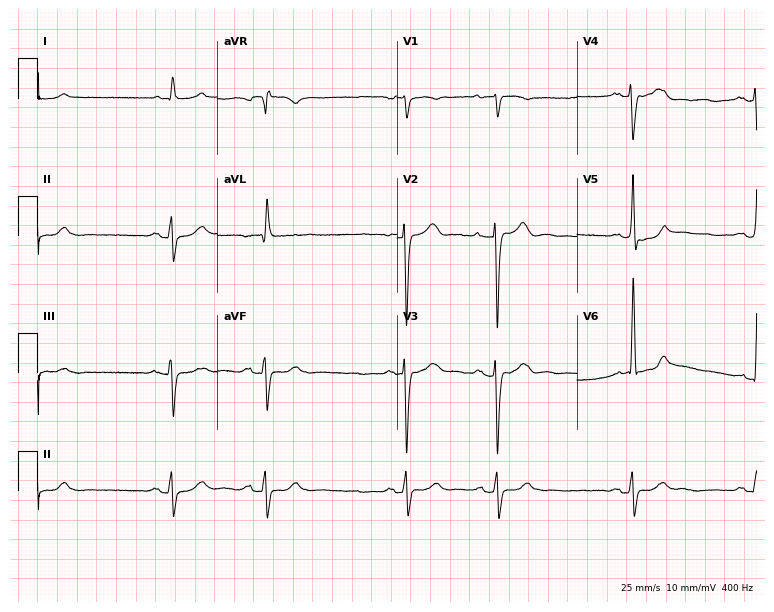
12-lead ECG (7.3-second recording at 400 Hz) from a female patient, 85 years old. Screened for six findings — first-degree AV block, right bundle branch block, left bundle branch block, sinus bradycardia, atrial fibrillation, sinus tachycardia — none is recorded.